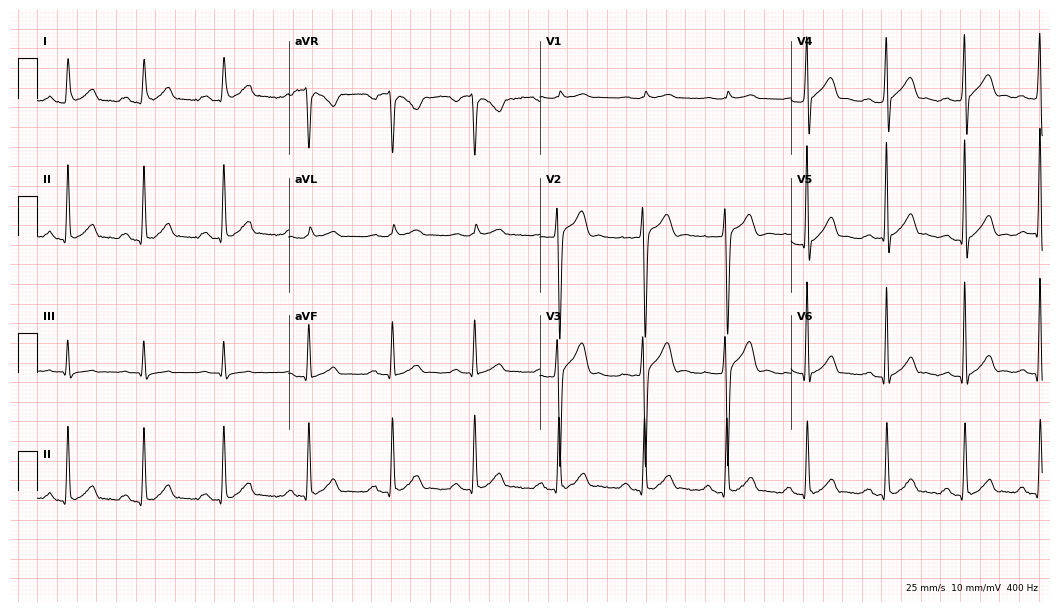
12-lead ECG from a male, 43 years old (10.2-second recording at 400 Hz). Recorded interpretation: within normal limits.